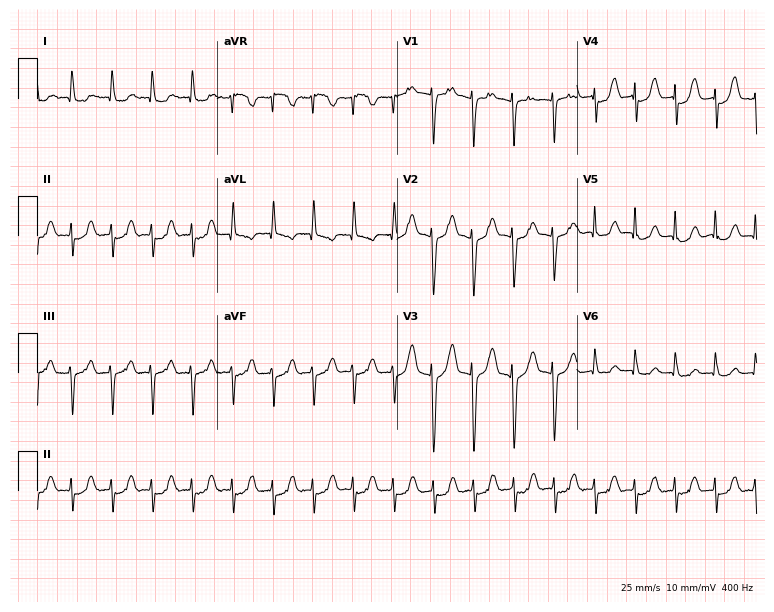
12-lead ECG from an 87-year-old female (7.3-second recording at 400 Hz). No first-degree AV block, right bundle branch block, left bundle branch block, sinus bradycardia, atrial fibrillation or sinus tachycardia recorded for this tracing. Other findings, if any, are not listed.